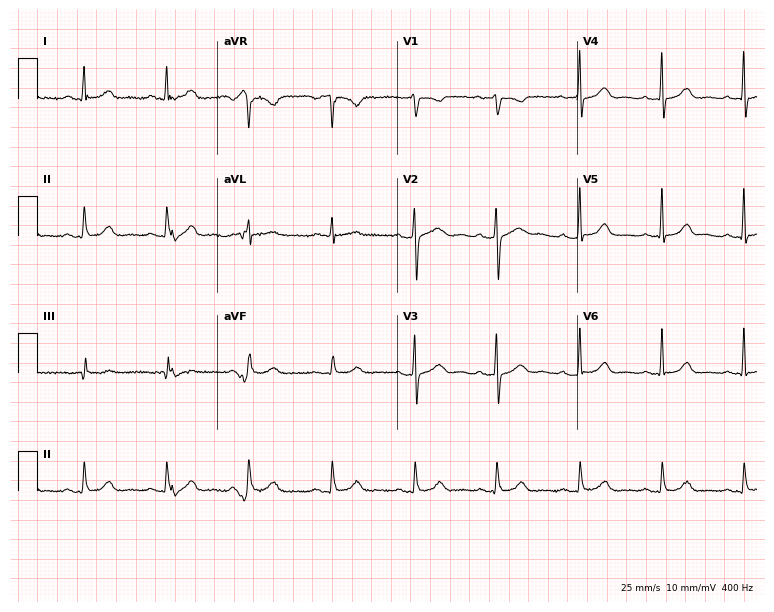
Standard 12-lead ECG recorded from a 54-year-old female patient. None of these six findings is recorded: first-degree AV block, right bundle branch block, left bundle branch block, sinus bradycardia, atrial fibrillation, sinus tachycardia. Findings outside these six are not listed.